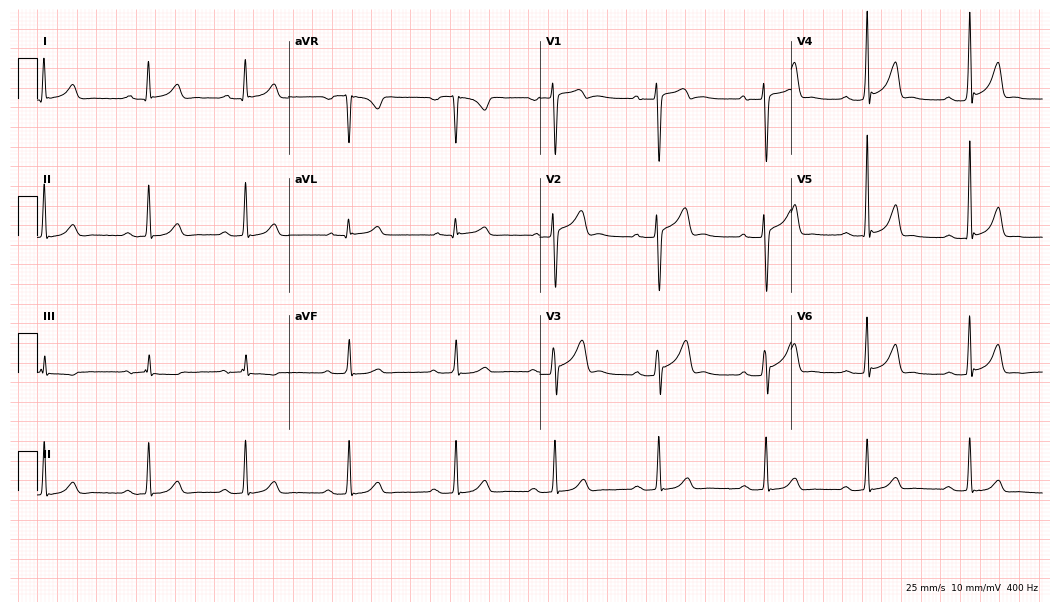
12-lead ECG from a man, 35 years old. Findings include first-degree AV block.